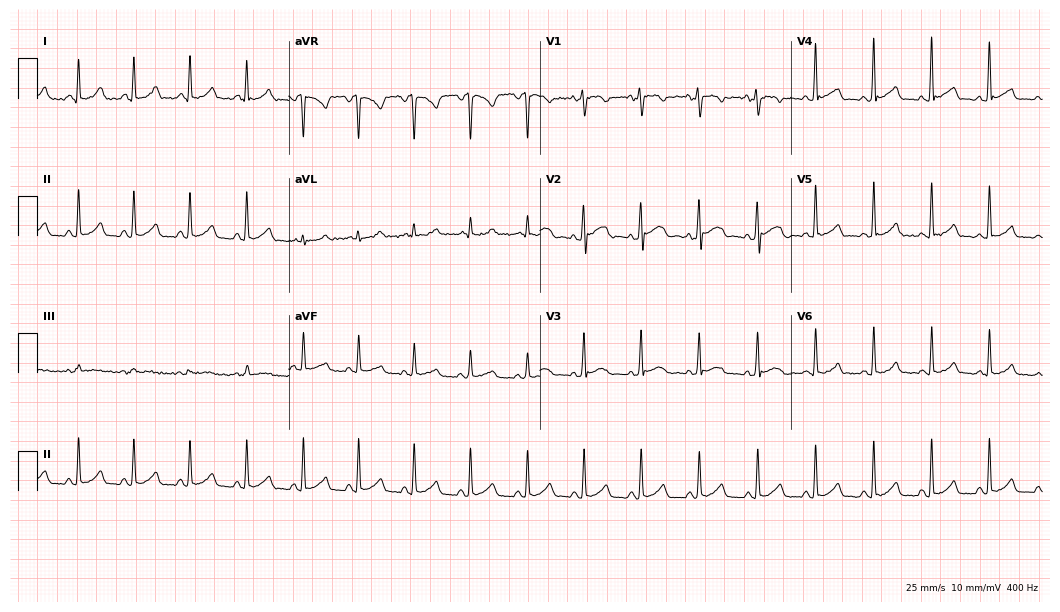
ECG — a 20-year-old female patient. Screened for six findings — first-degree AV block, right bundle branch block, left bundle branch block, sinus bradycardia, atrial fibrillation, sinus tachycardia — none is recorded.